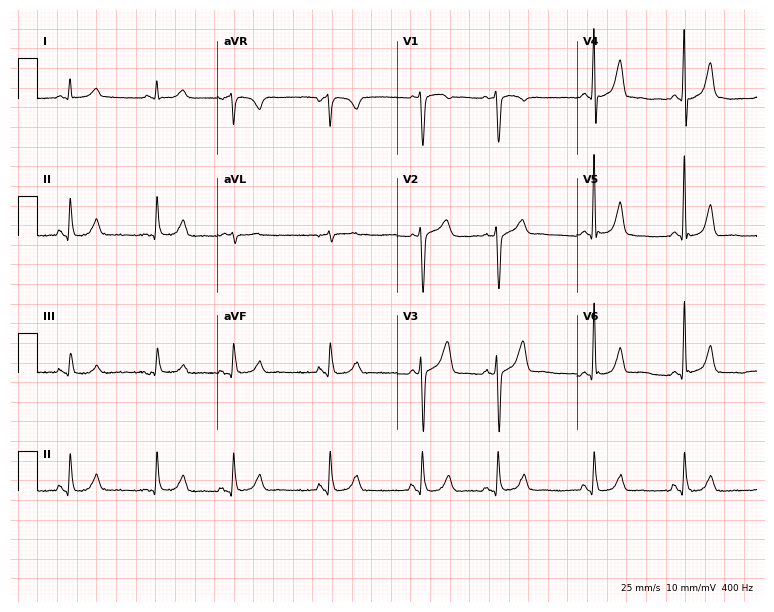
Resting 12-lead electrocardiogram. Patient: a man, 66 years old. Read as a normal ECG.